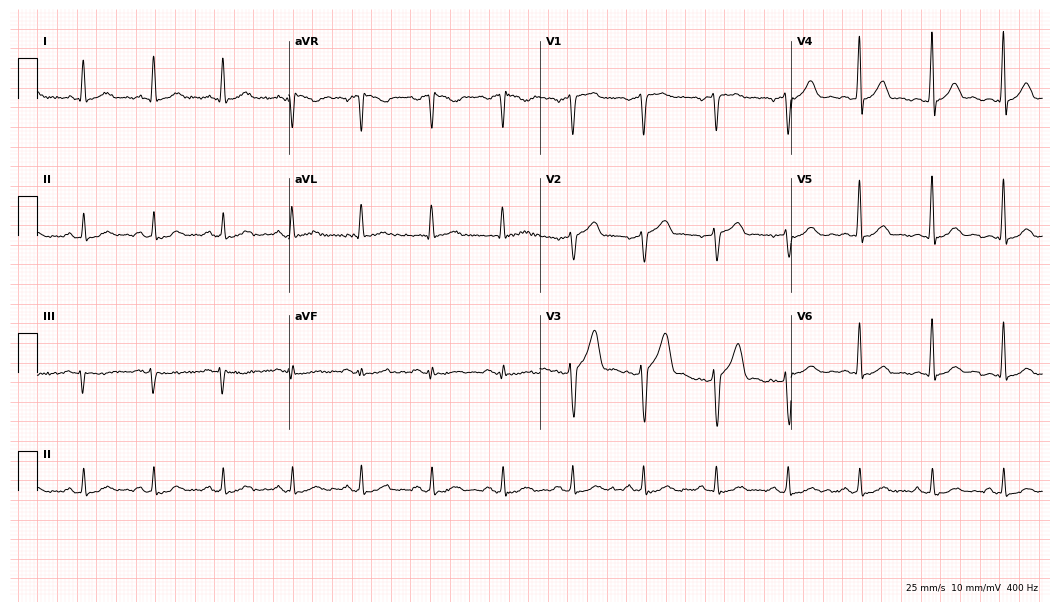
Standard 12-lead ECG recorded from a 51-year-old male (10.2-second recording at 400 Hz). Read as a normal ECG.